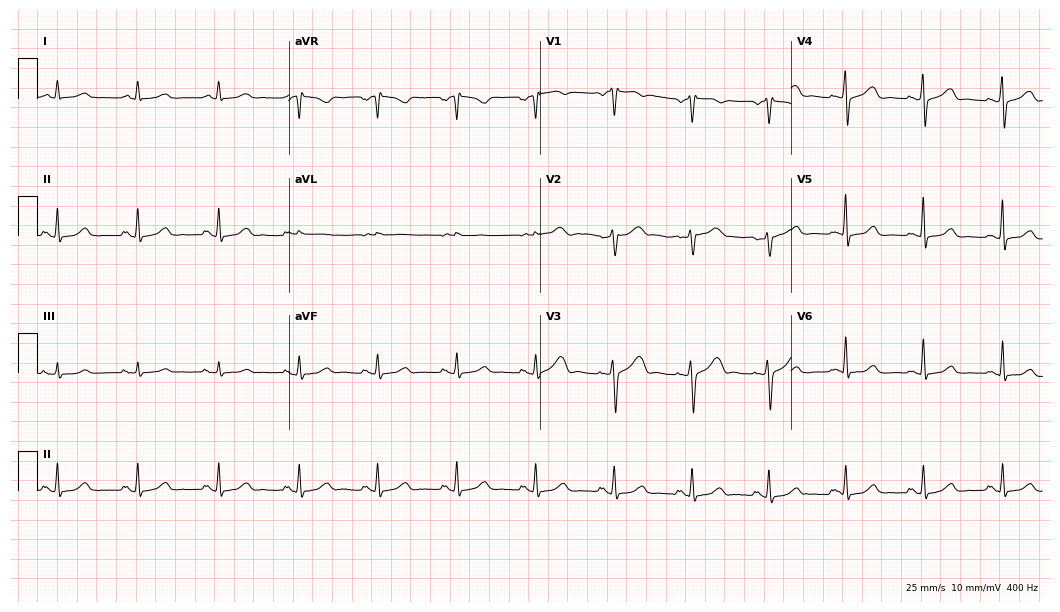
Resting 12-lead electrocardiogram. Patient: a 52-year-old female. Read as a normal ECG.